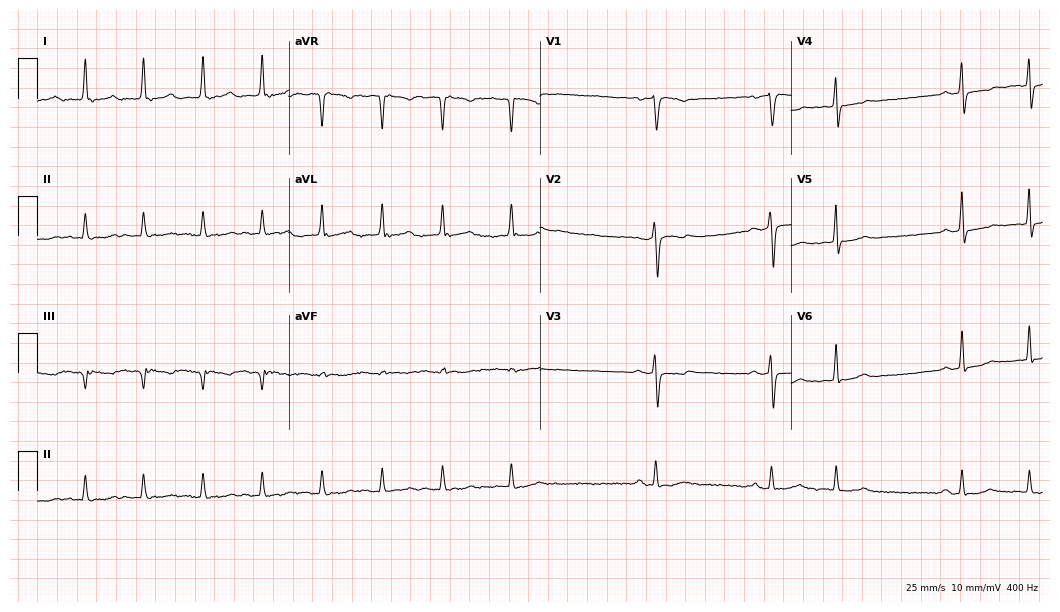
ECG (10.2-second recording at 400 Hz) — a 69-year-old woman. Screened for six findings — first-degree AV block, right bundle branch block, left bundle branch block, sinus bradycardia, atrial fibrillation, sinus tachycardia — none is recorded.